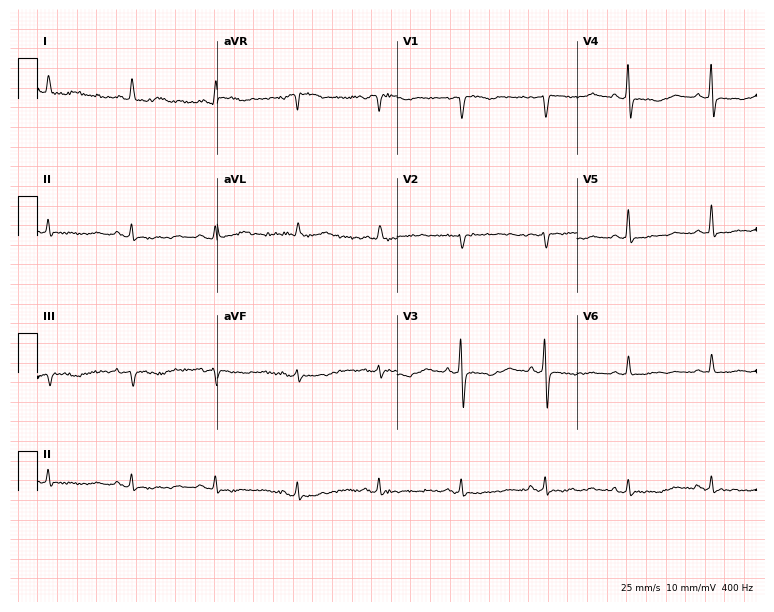
12-lead ECG (7.3-second recording at 400 Hz) from a female patient, 68 years old. Screened for six findings — first-degree AV block, right bundle branch block, left bundle branch block, sinus bradycardia, atrial fibrillation, sinus tachycardia — none is recorded. Only these six findings were labelled.